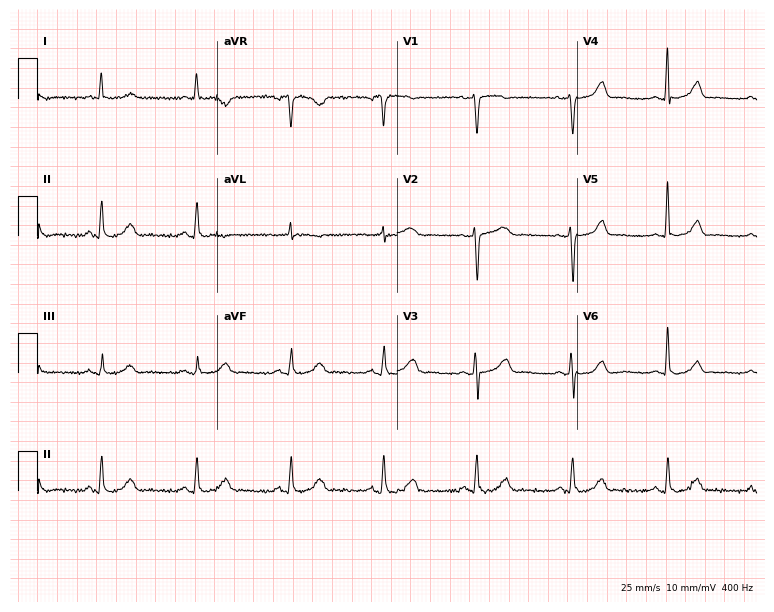
Resting 12-lead electrocardiogram (7.3-second recording at 400 Hz). Patient: a 65-year-old woman. Read as a normal ECG.